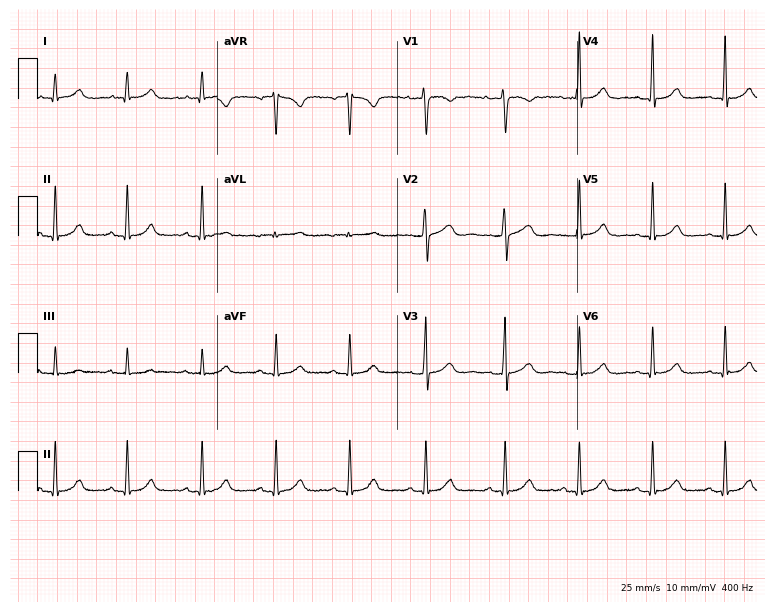
Standard 12-lead ECG recorded from a woman, 39 years old. Read as a normal ECG.